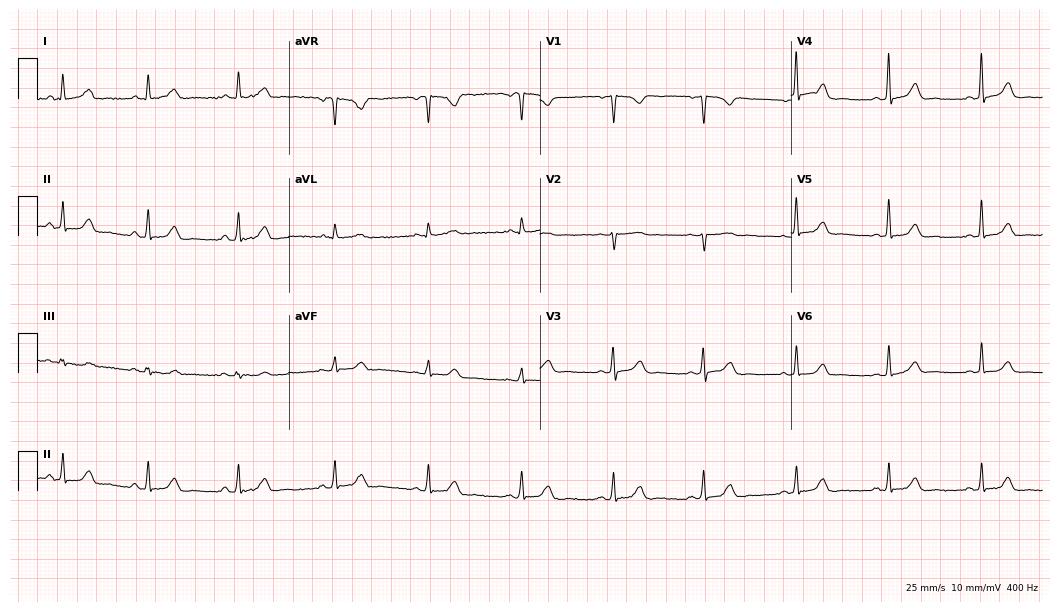
Standard 12-lead ECG recorded from a female patient, 44 years old. Read as a normal ECG.